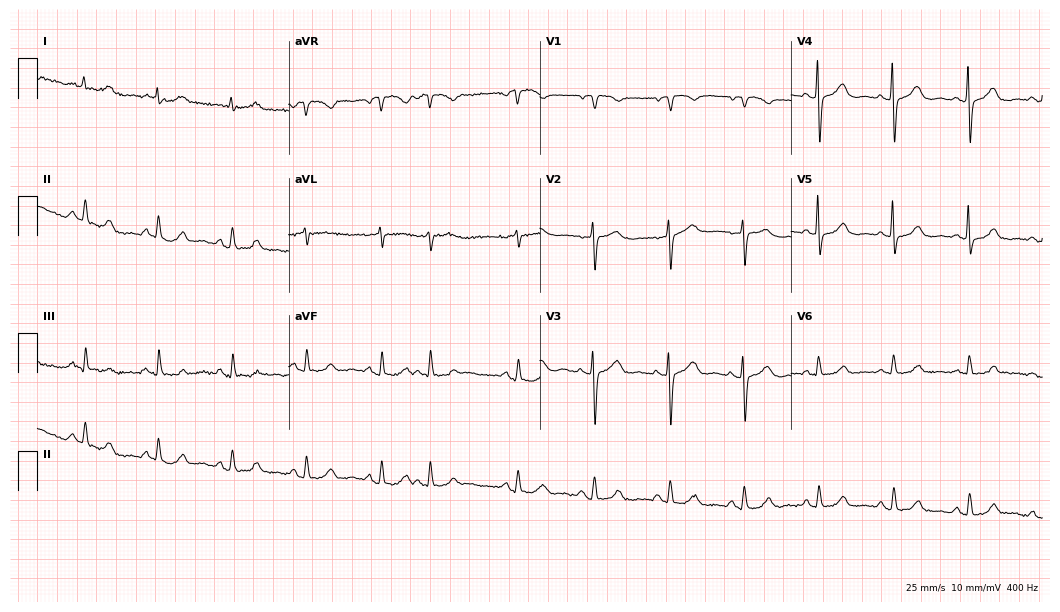
12-lead ECG from a female patient, 76 years old. No first-degree AV block, right bundle branch block, left bundle branch block, sinus bradycardia, atrial fibrillation or sinus tachycardia recorded for this tracing. Other findings, if any, are not listed.